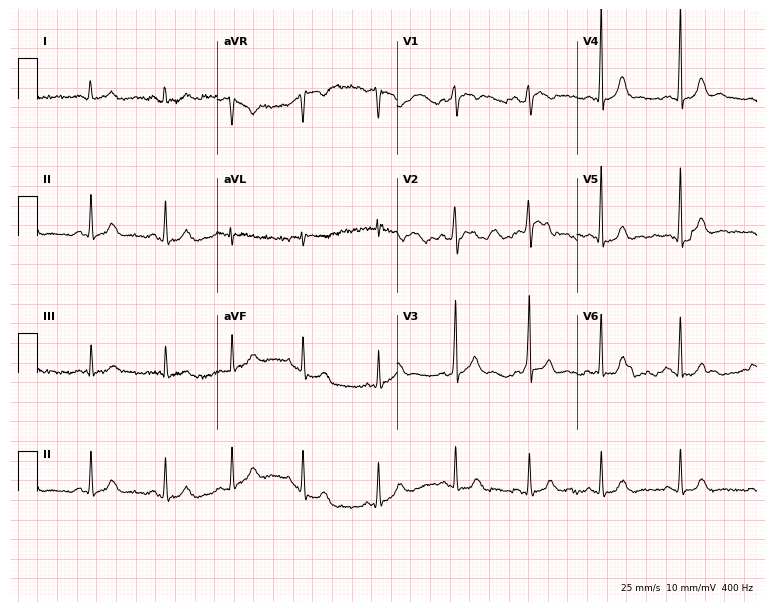
Standard 12-lead ECG recorded from a woman, 25 years old. None of these six findings is recorded: first-degree AV block, right bundle branch block (RBBB), left bundle branch block (LBBB), sinus bradycardia, atrial fibrillation (AF), sinus tachycardia.